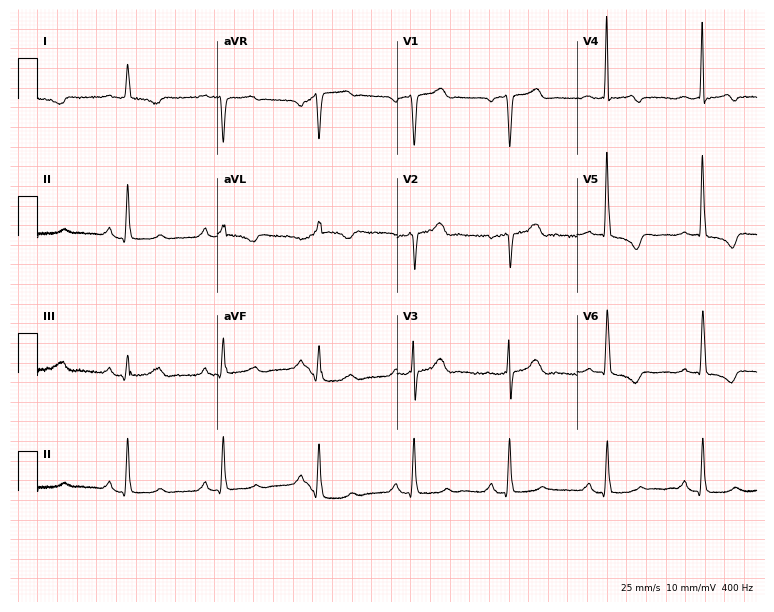
Electrocardiogram (7.3-second recording at 400 Hz), a 68-year-old male. Of the six screened findings (first-degree AV block, right bundle branch block, left bundle branch block, sinus bradycardia, atrial fibrillation, sinus tachycardia), none is recorded. Other findings, if any, are not listed.